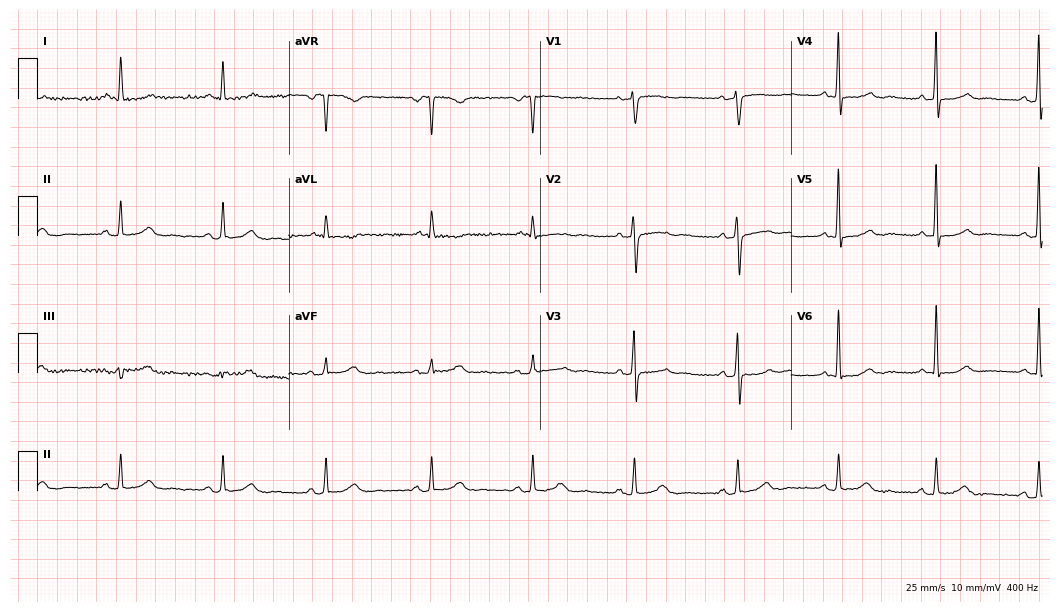
Resting 12-lead electrocardiogram (10.2-second recording at 400 Hz). Patient: a female, 61 years old. Read as a normal ECG.